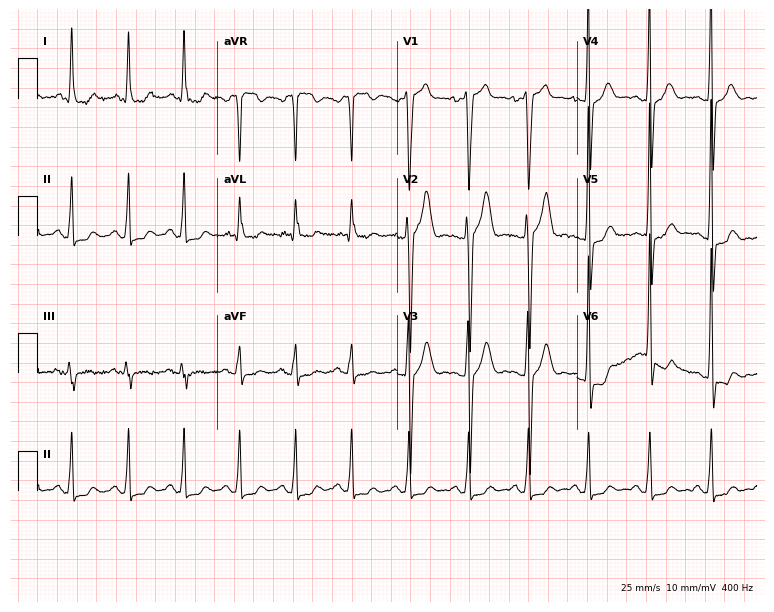
ECG (7.3-second recording at 400 Hz) — a man, 36 years old. Findings include sinus tachycardia (a sinus rate of 100 beats per minute or more).